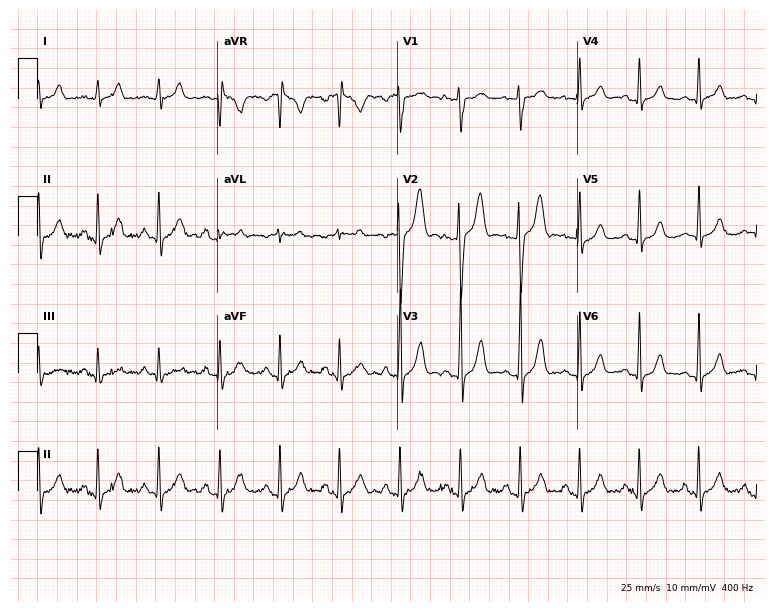
Standard 12-lead ECG recorded from a male patient, 23 years old. Read as a normal ECG.